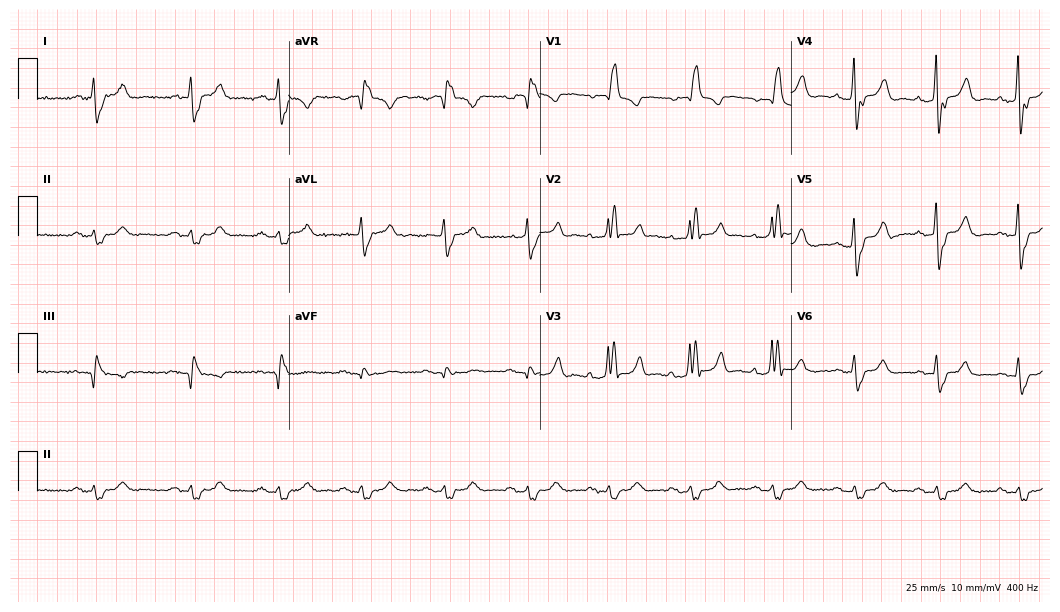
12-lead ECG (10.2-second recording at 400 Hz) from a 76-year-old male patient. Findings include right bundle branch block.